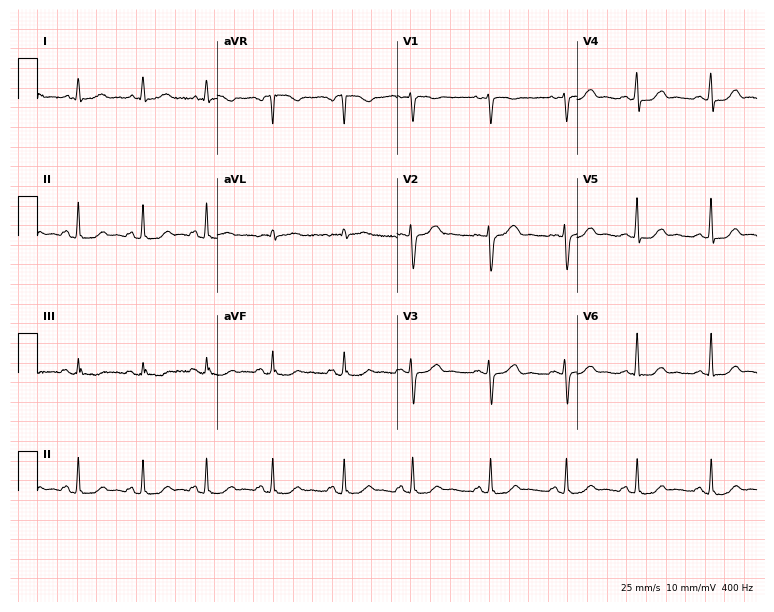
12-lead ECG from a woman, 44 years old. Screened for six findings — first-degree AV block, right bundle branch block (RBBB), left bundle branch block (LBBB), sinus bradycardia, atrial fibrillation (AF), sinus tachycardia — none is recorded. Only these six findings were labelled.